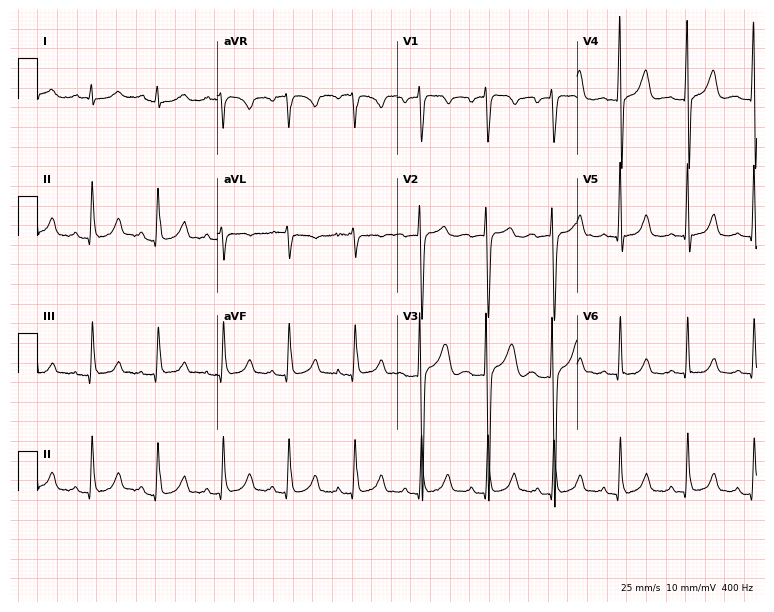
12-lead ECG (7.3-second recording at 400 Hz) from a 30-year-old male. Labelled as a normal ECG.